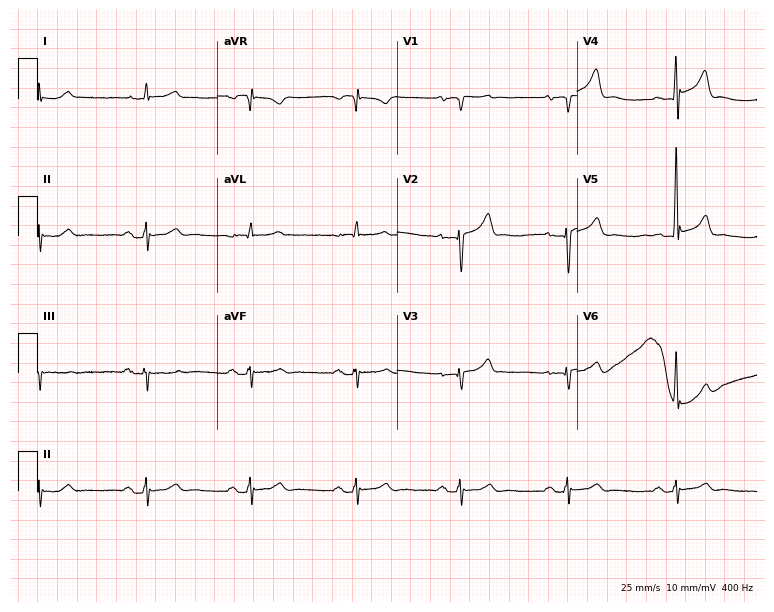
12-lead ECG from a man, 47 years old. Screened for six findings — first-degree AV block, right bundle branch block, left bundle branch block, sinus bradycardia, atrial fibrillation, sinus tachycardia — none is recorded.